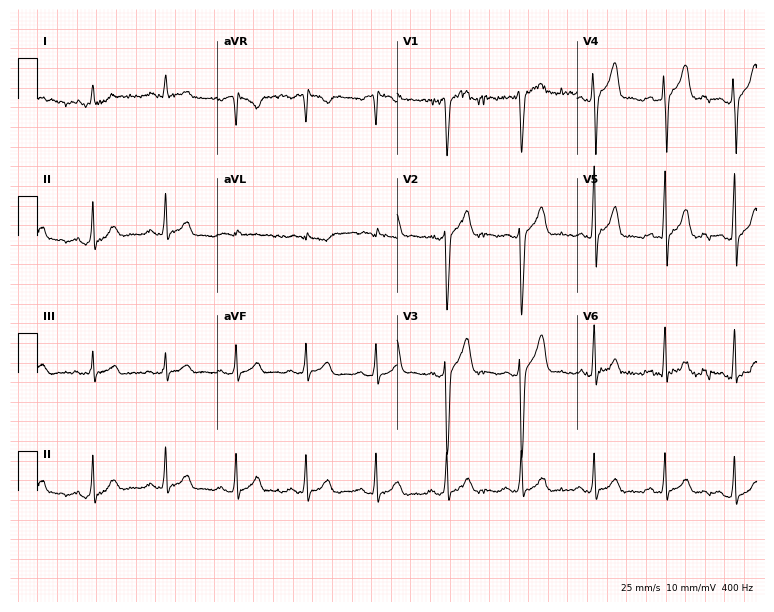
Standard 12-lead ECG recorded from a male, 23 years old (7.3-second recording at 400 Hz). Read as a normal ECG.